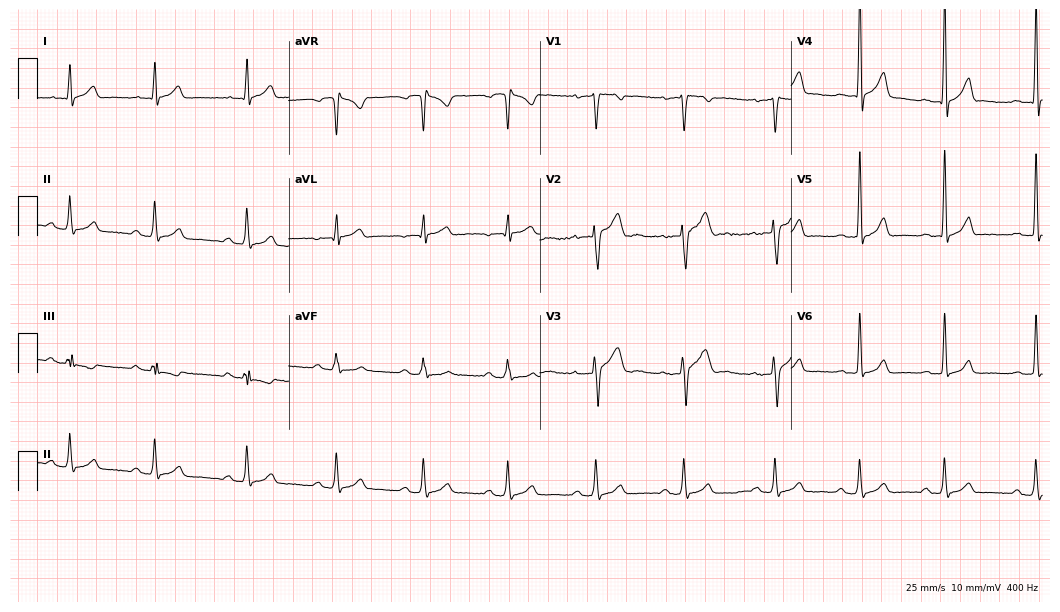
ECG — a male patient, 33 years old. Screened for six findings — first-degree AV block, right bundle branch block (RBBB), left bundle branch block (LBBB), sinus bradycardia, atrial fibrillation (AF), sinus tachycardia — none is recorded.